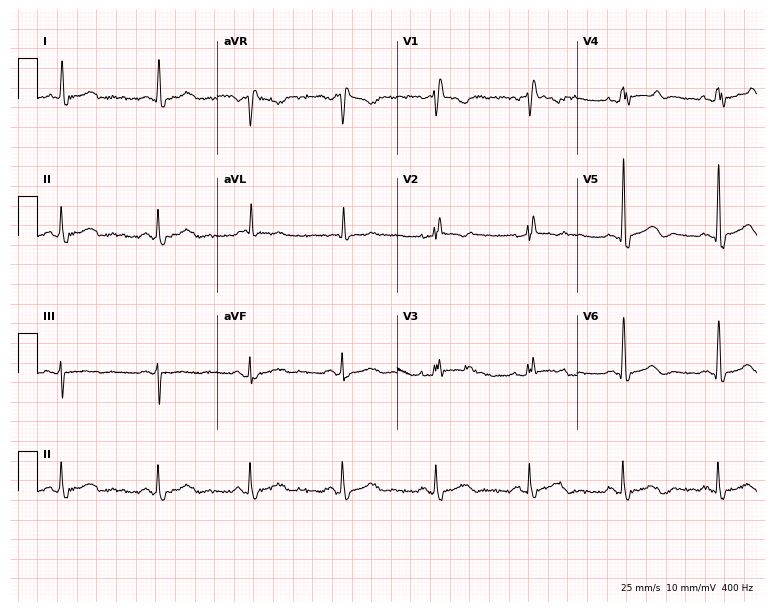
12-lead ECG from an 81-year-old male patient. No first-degree AV block, right bundle branch block, left bundle branch block, sinus bradycardia, atrial fibrillation or sinus tachycardia recorded for this tracing.